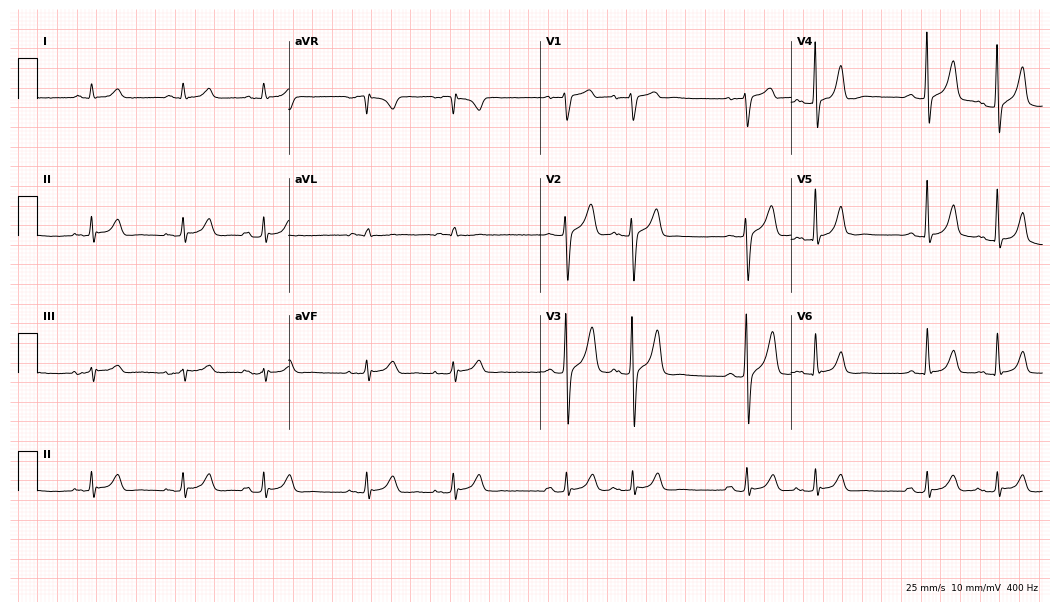
12-lead ECG from a male, 53 years old. No first-degree AV block, right bundle branch block, left bundle branch block, sinus bradycardia, atrial fibrillation or sinus tachycardia recorded for this tracing. Findings outside these six are not listed.